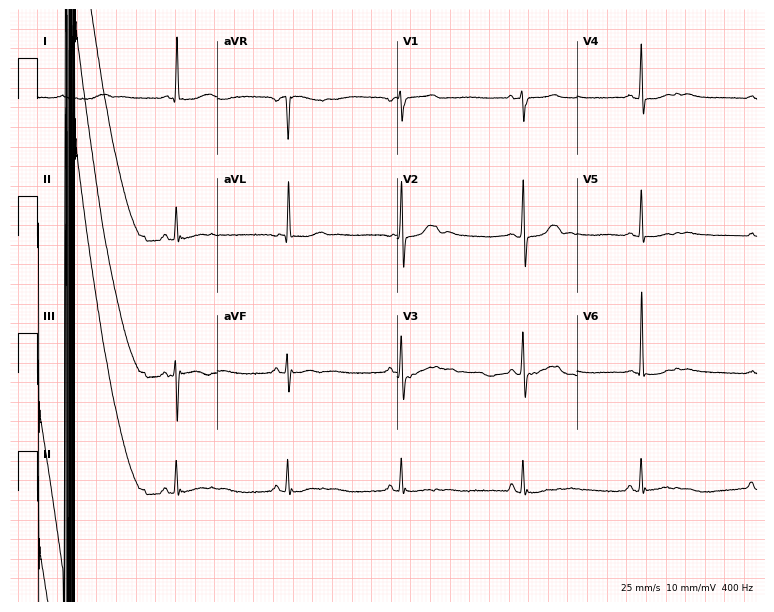
Electrocardiogram (7.3-second recording at 400 Hz), a female patient, 81 years old. Interpretation includes sinus bradycardia (a sinus rate of 50 beats per minute or less).